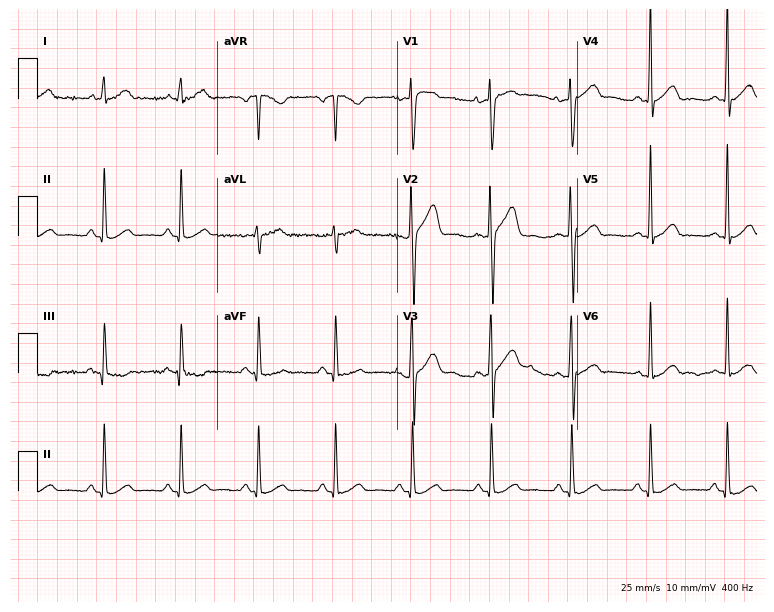
Electrocardiogram (7.3-second recording at 400 Hz), a 49-year-old male patient. Overall reading on record: normal ECG.